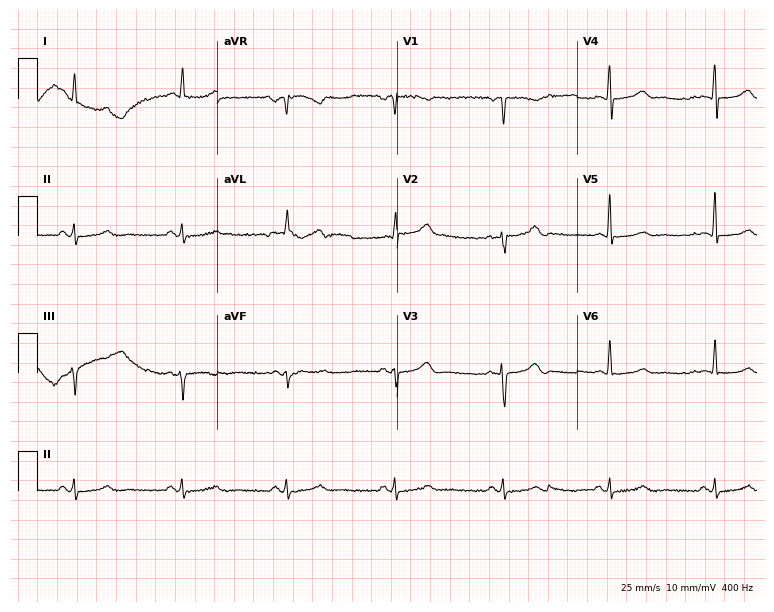
12-lead ECG from a woman, 69 years old (7.3-second recording at 400 Hz). No first-degree AV block, right bundle branch block, left bundle branch block, sinus bradycardia, atrial fibrillation or sinus tachycardia recorded for this tracing.